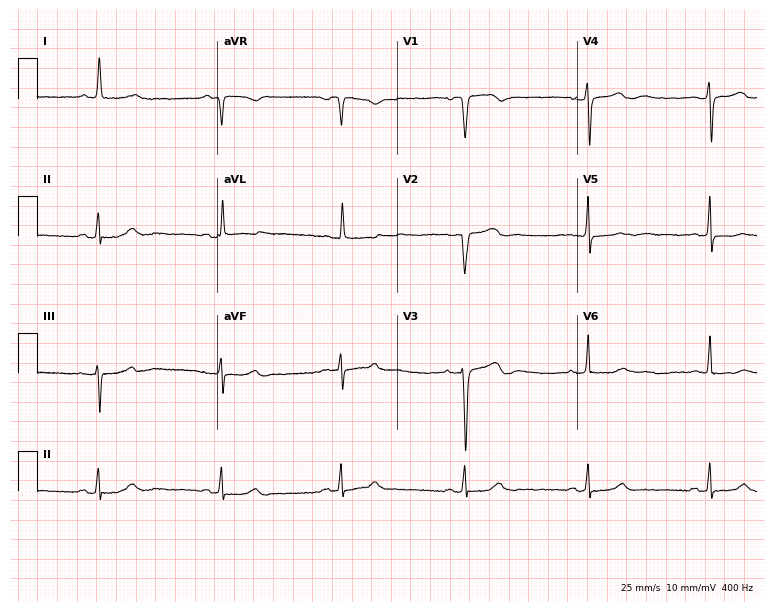
Electrocardiogram, a 54-year-old female. Interpretation includes sinus bradycardia (a sinus rate of 50 beats per minute or less).